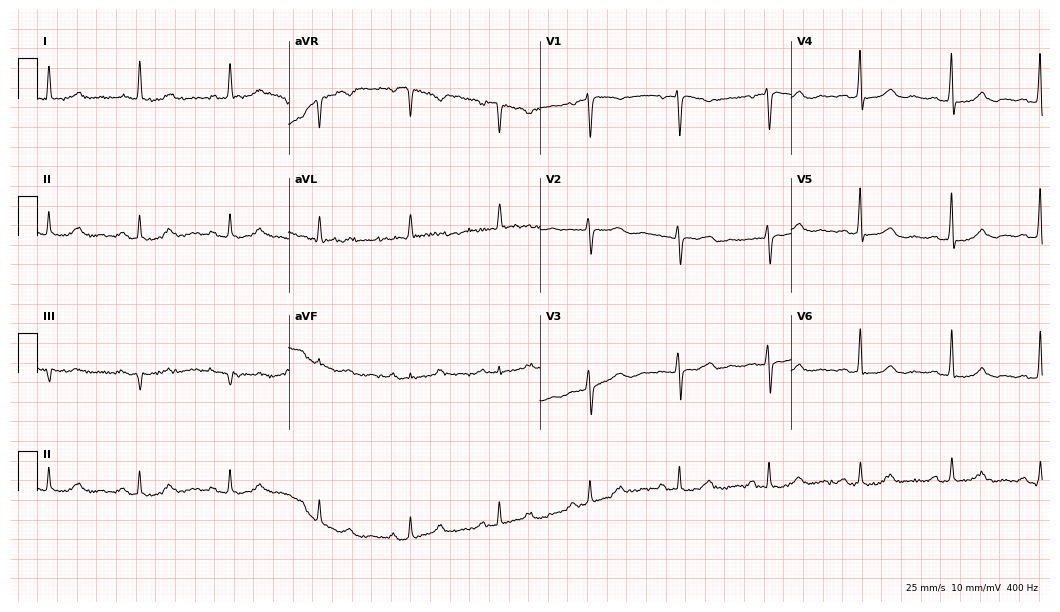
Standard 12-lead ECG recorded from a female, 81 years old (10.2-second recording at 400 Hz). None of these six findings is recorded: first-degree AV block, right bundle branch block (RBBB), left bundle branch block (LBBB), sinus bradycardia, atrial fibrillation (AF), sinus tachycardia. Only these six findings were labelled.